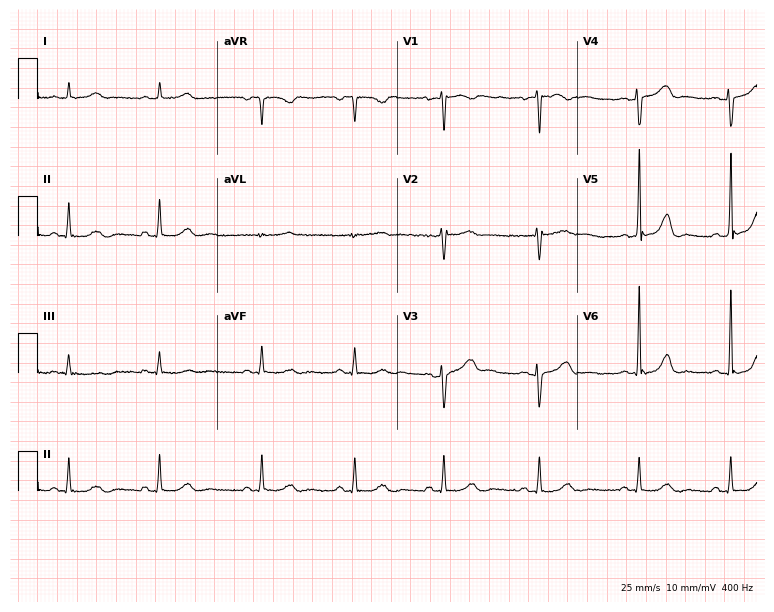
Resting 12-lead electrocardiogram. Patient: a female, 44 years old. None of these six findings is recorded: first-degree AV block, right bundle branch block (RBBB), left bundle branch block (LBBB), sinus bradycardia, atrial fibrillation (AF), sinus tachycardia. Findings outside these six are not listed.